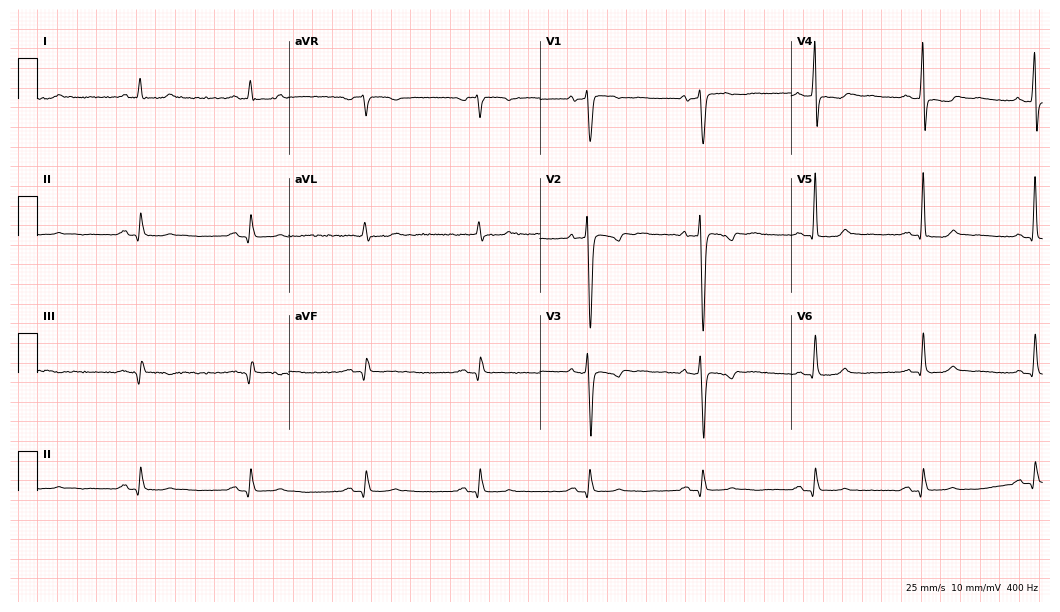
ECG (10.2-second recording at 400 Hz) — a 65-year-old man. Screened for six findings — first-degree AV block, right bundle branch block, left bundle branch block, sinus bradycardia, atrial fibrillation, sinus tachycardia — none is recorded. Only these six findings were labelled.